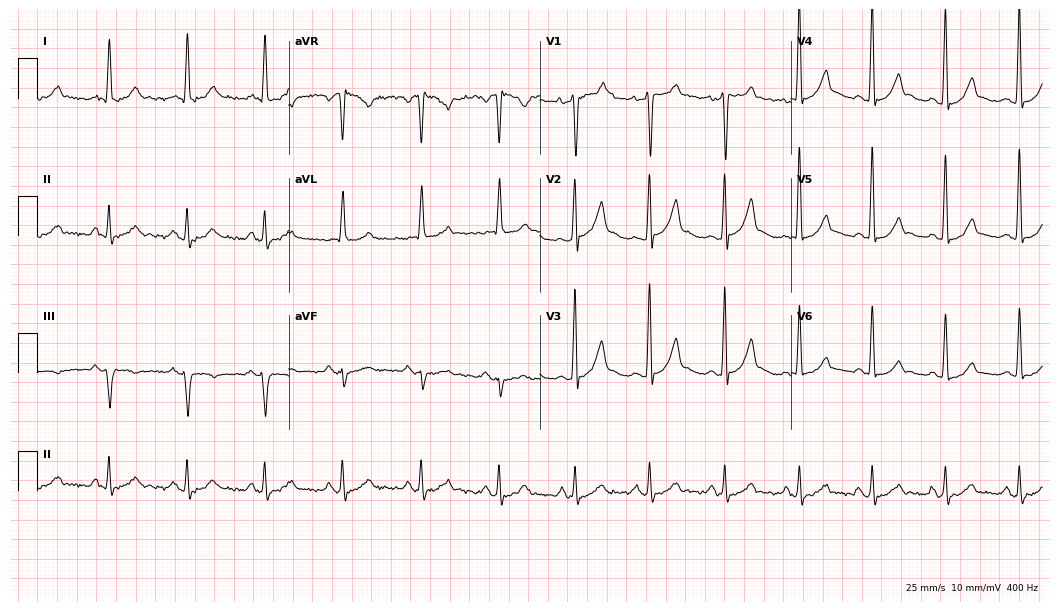
ECG — a male, 47 years old. Labelled as a normal ECG.